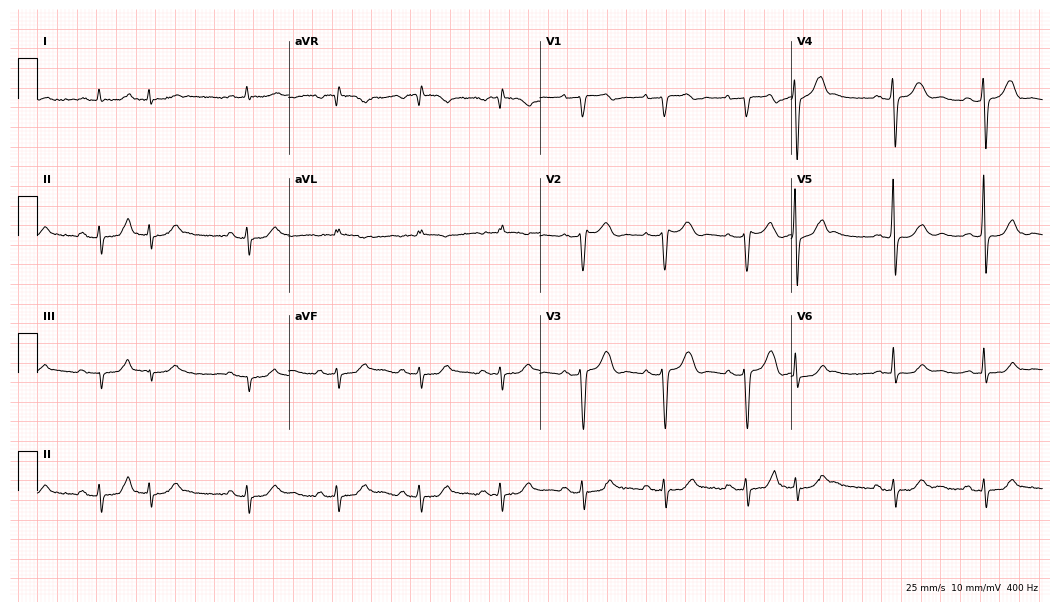
12-lead ECG from a 76-year-old female (10.2-second recording at 400 Hz). No first-degree AV block, right bundle branch block (RBBB), left bundle branch block (LBBB), sinus bradycardia, atrial fibrillation (AF) or sinus tachycardia recorded for this tracing.